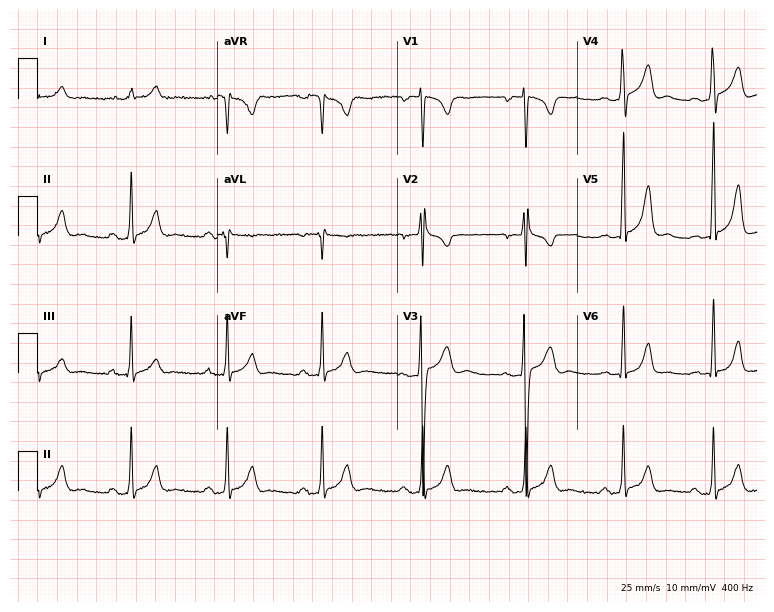
Resting 12-lead electrocardiogram (7.3-second recording at 400 Hz). Patient: a male, 23 years old. None of these six findings is recorded: first-degree AV block, right bundle branch block, left bundle branch block, sinus bradycardia, atrial fibrillation, sinus tachycardia. Only these six findings were labelled.